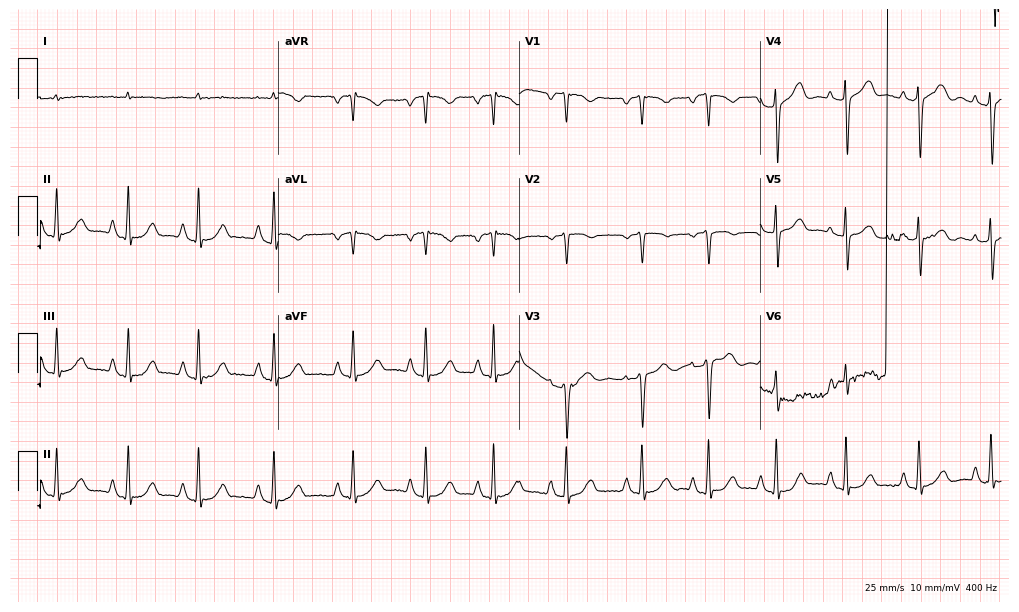
Electrocardiogram (9.8-second recording at 400 Hz), a man, 60 years old. Of the six screened findings (first-degree AV block, right bundle branch block, left bundle branch block, sinus bradycardia, atrial fibrillation, sinus tachycardia), none is recorded.